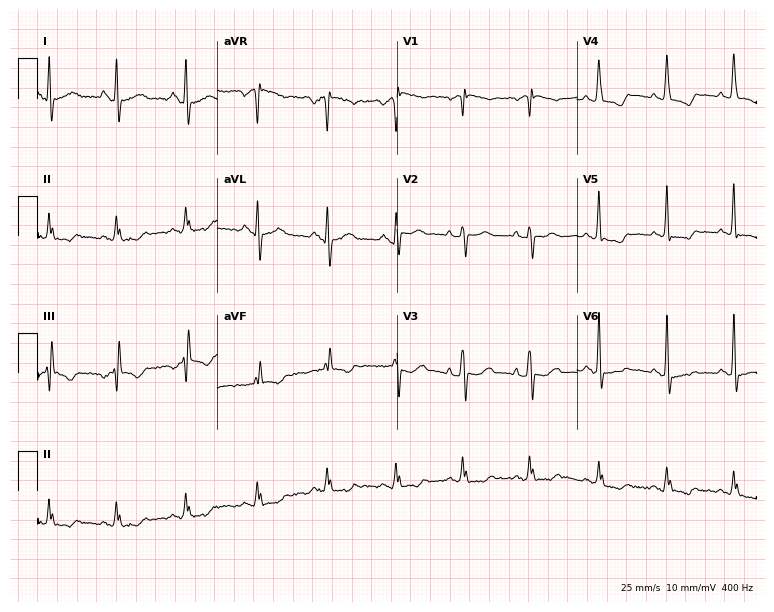
ECG — a 27-year-old woman. Screened for six findings — first-degree AV block, right bundle branch block (RBBB), left bundle branch block (LBBB), sinus bradycardia, atrial fibrillation (AF), sinus tachycardia — none is recorded. Other findings, if any, are not listed.